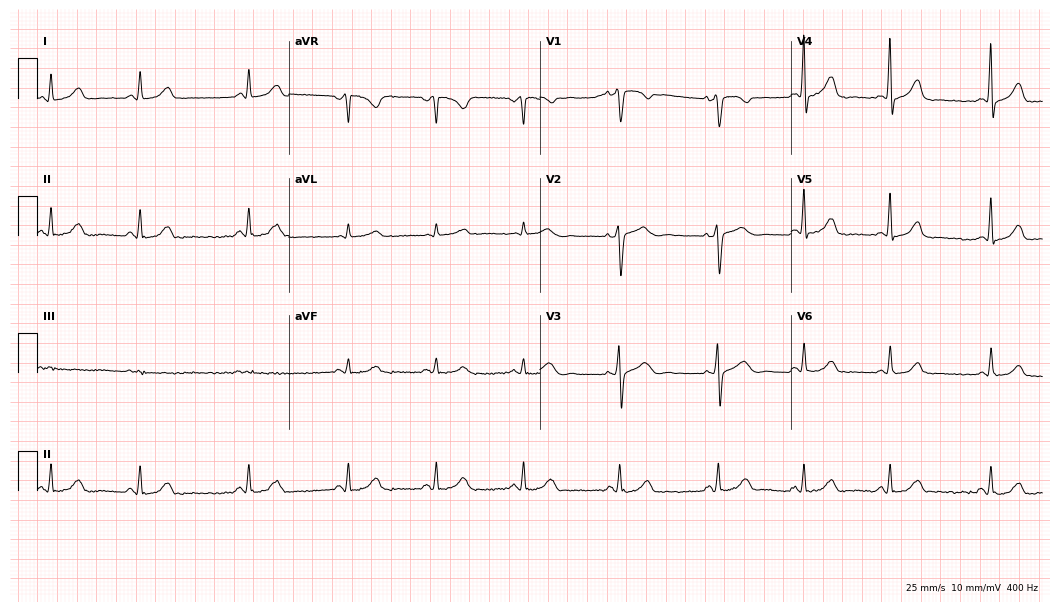
12-lead ECG from a 43-year-old woman (10.2-second recording at 400 Hz). Recorded interpretation: within normal limits.